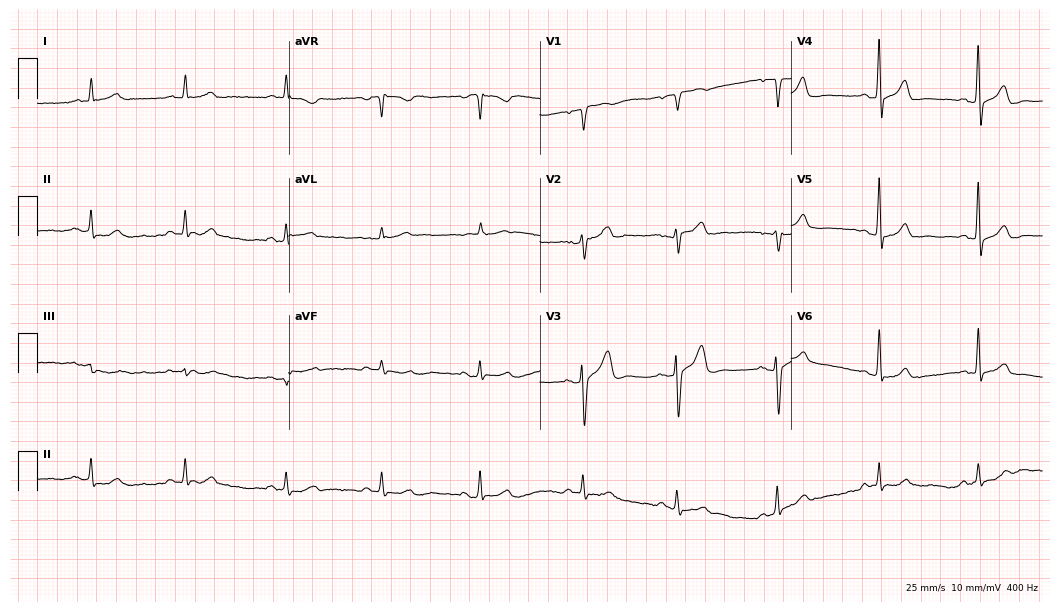
Resting 12-lead electrocardiogram. Patient: a 58-year-old man. Read as a normal ECG.